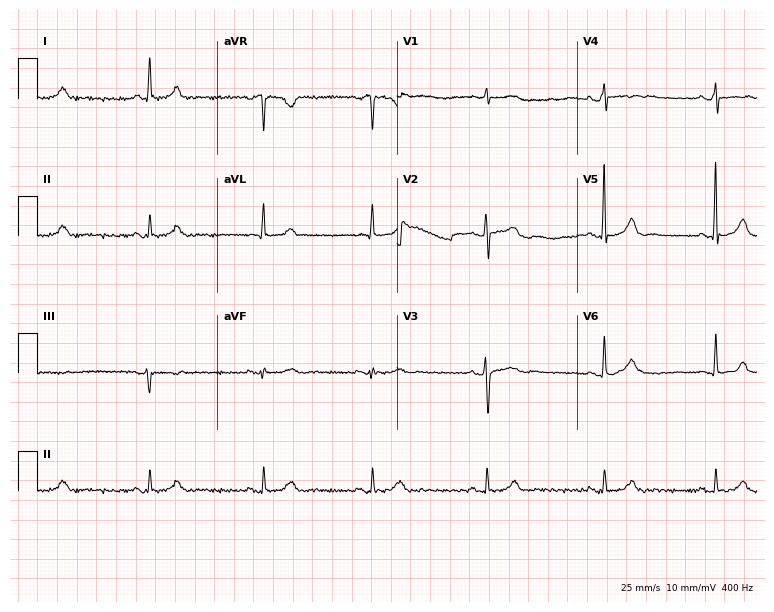
Standard 12-lead ECG recorded from a 44-year-old woman (7.3-second recording at 400 Hz). Read as a normal ECG.